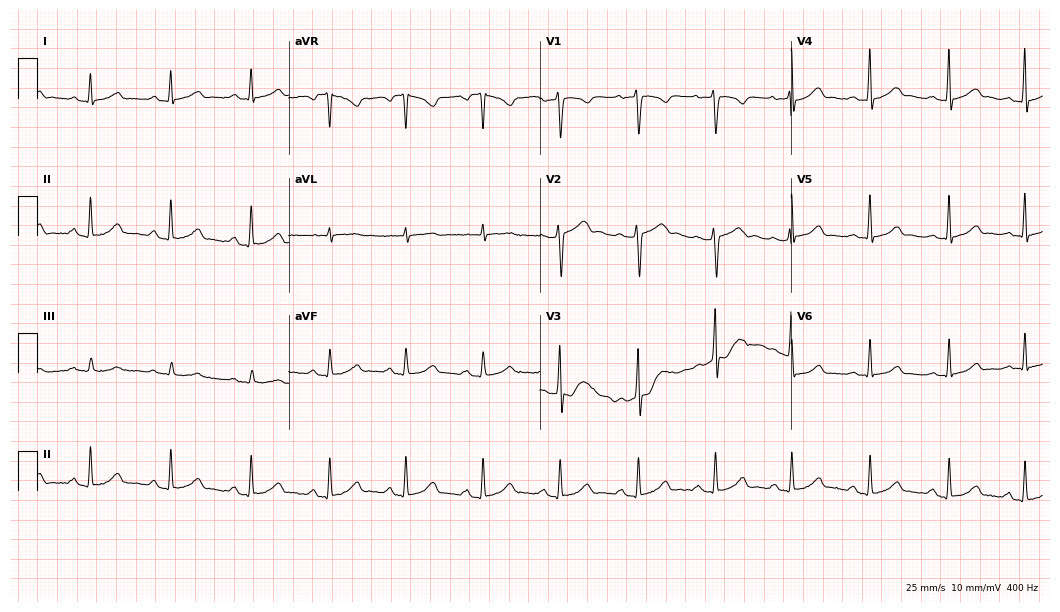
ECG (10.2-second recording at 400 Hz) — a female, 39 years old. Labelled as a normal ECG.